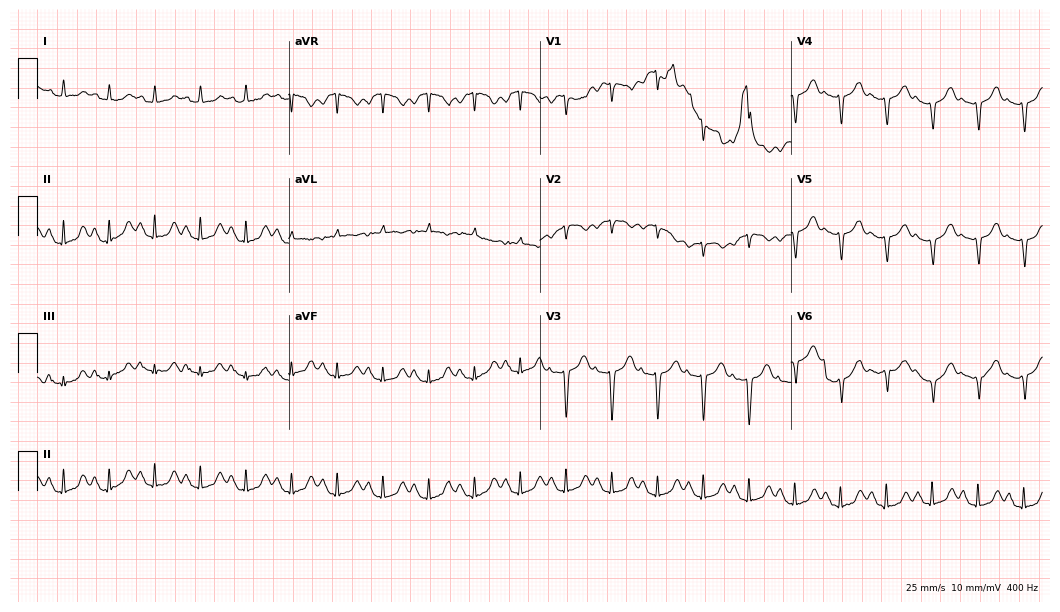
Standard 12-lead ECG recorded from a 78-year-old female patient (10.2-second recording at 400 Hz). The tracing shows sinus tachycardia (a sinus rate of 100 beats per minute or more).